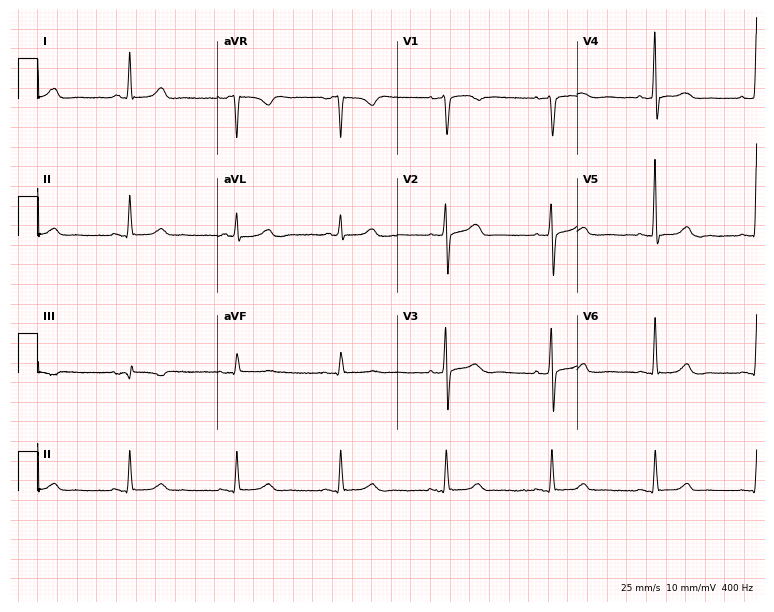
ECG — a female patient, 78 years old. Labelled as a normal ECG.